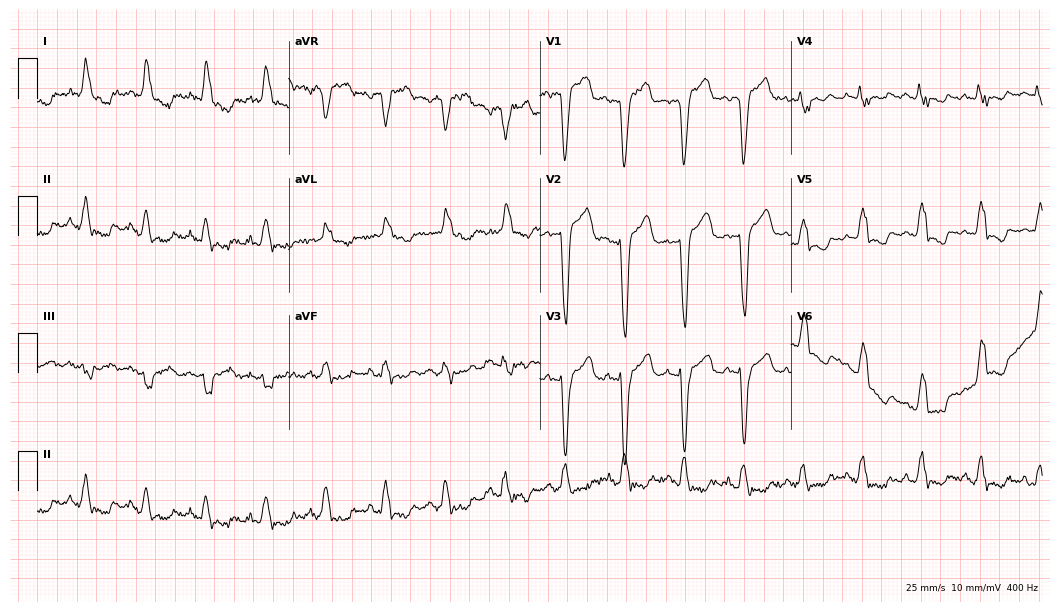
Standard 12-lead ECG recorded from a female, 78 years old (10.2-second recording at 400 Hz). The tracing shows left bundle branch block.